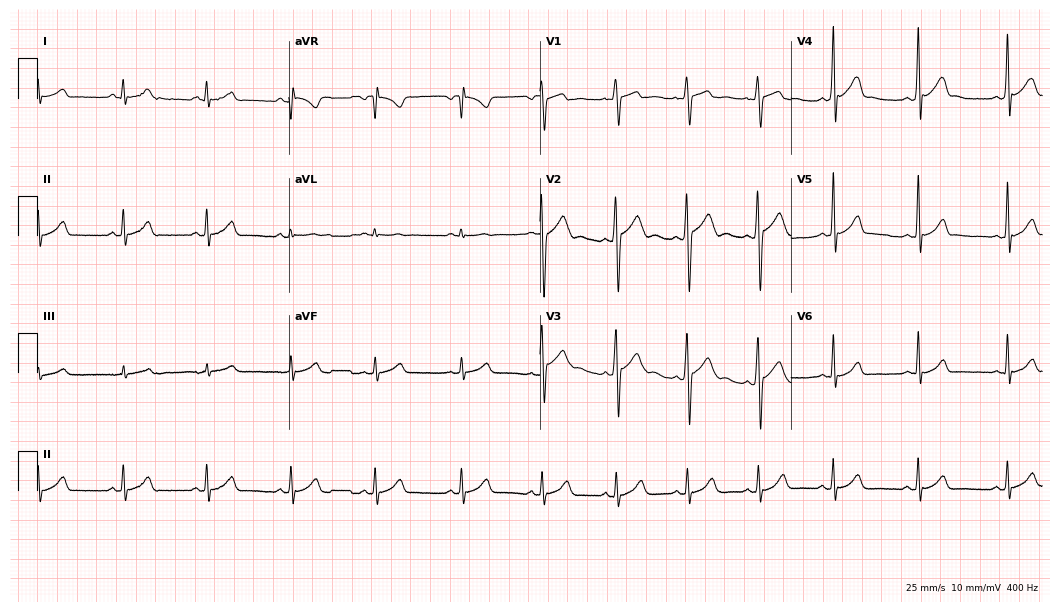
Standard 12-lead ECG recorded from a man, 17 years old (10.2-second recording at 400 Hz). Read as a normal ECG.